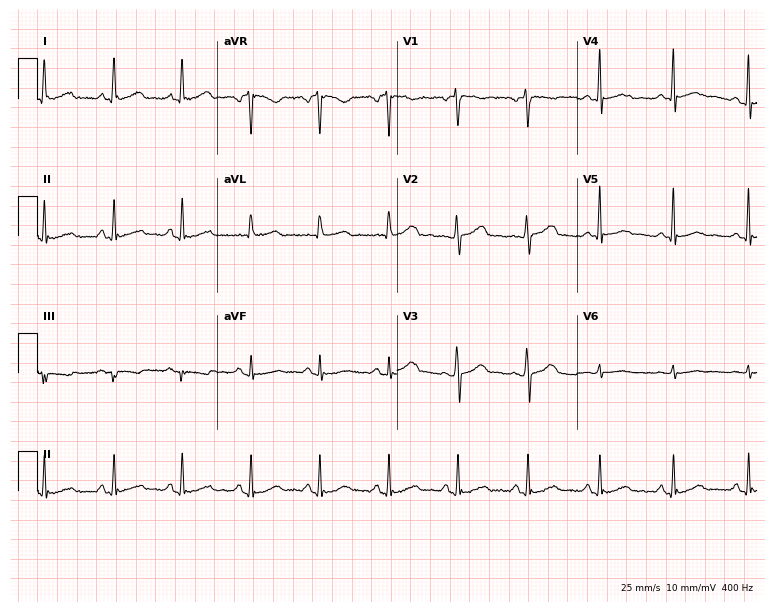
Resting 12-lead electrocardiogram (7.3-second recording at 400 Hz). Patient: a 58-year-old woman. Read as a normal ECG.